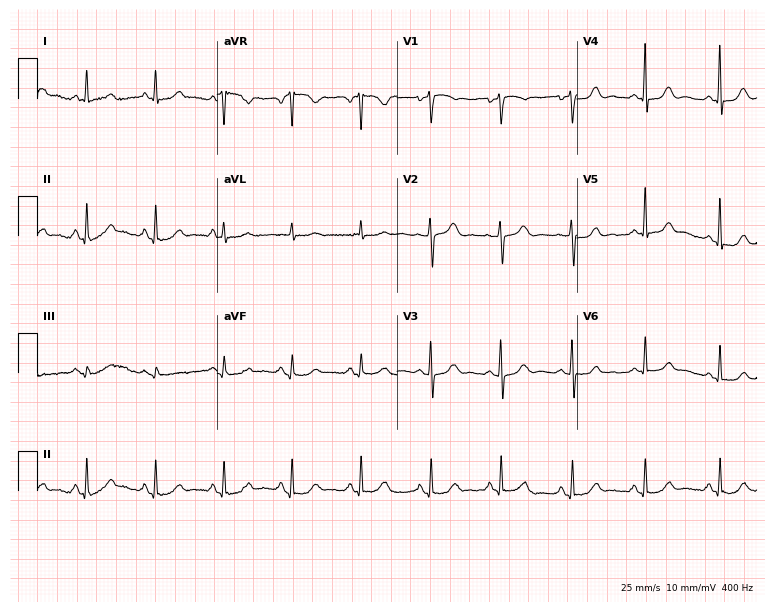
ECG — a woman, 71 years old. Labelled as a normal ECG.